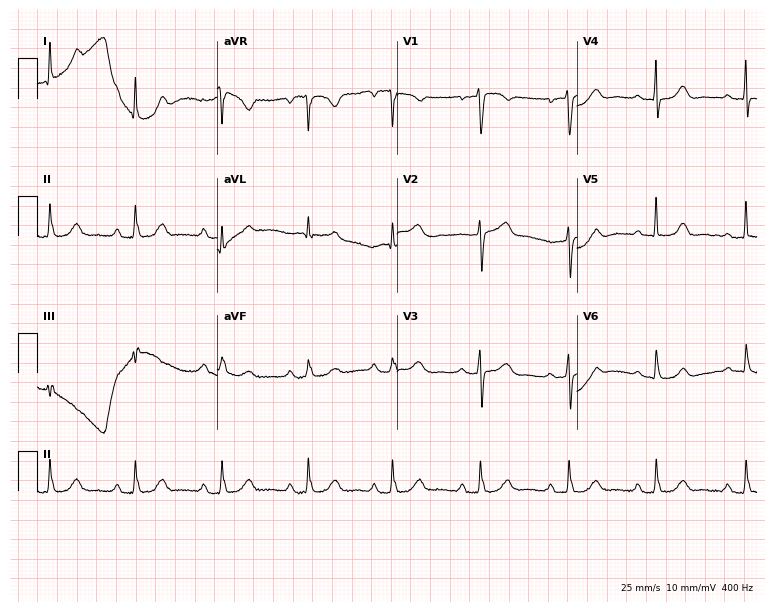
Resting 12-lead electrocardiogram (7.3-second recording at 400 Hz). Patient: a 67-year-old female. Read as a normal ECG.